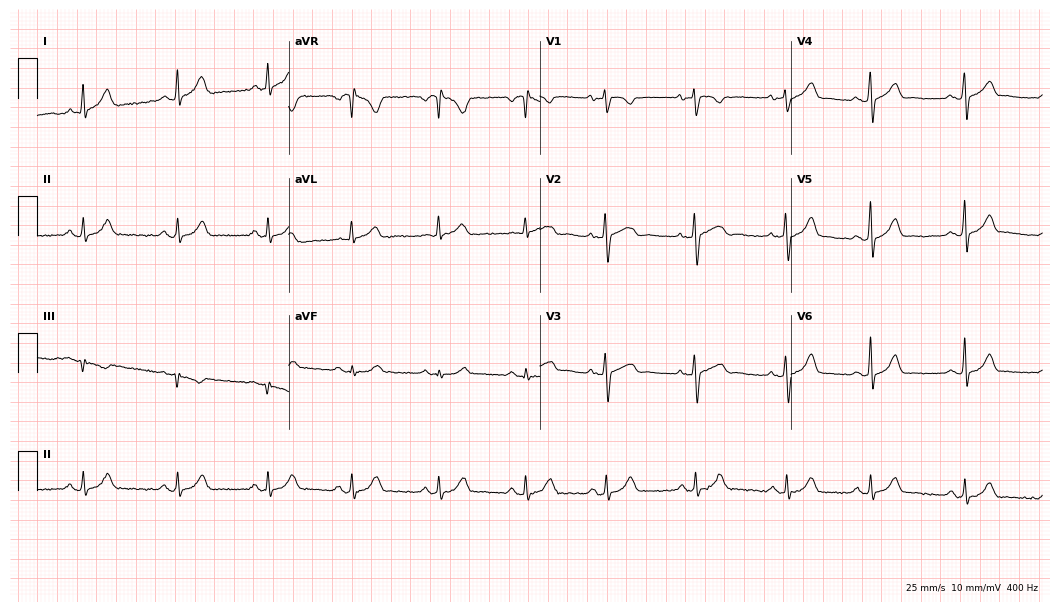
Standard 12-lead ECG recorded from a 36-year-old woman (10.2-second recording at 400 Hz). Read as a normal ECG.